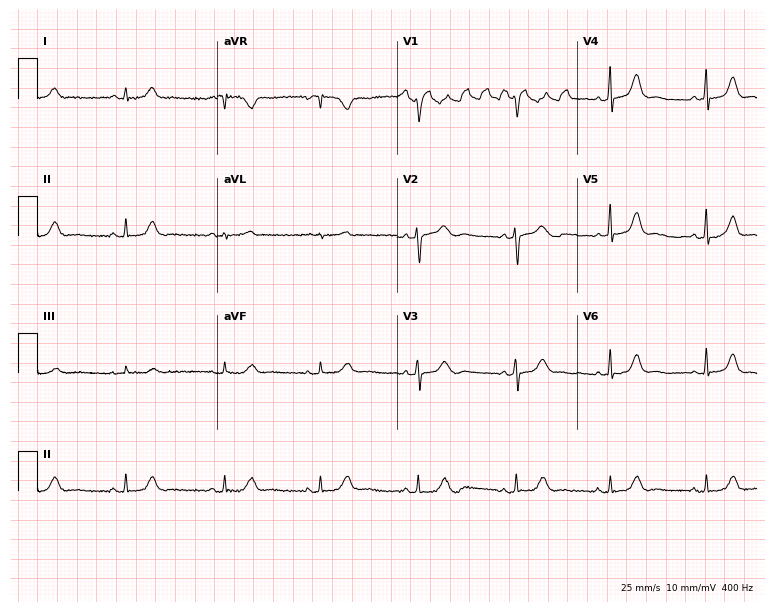
Electrocardiogram, a female patient, 50 years old. Overall reading on record: normal ECG.